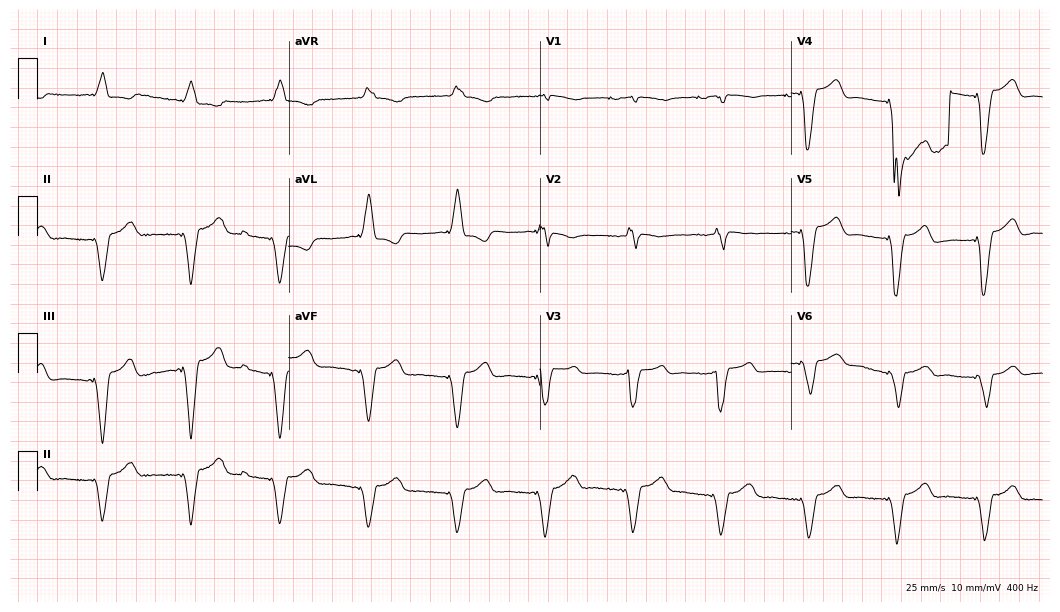
Standard 12-lead ECG recorded from a female, 38 years old. None of these six findings is recorded: first-degree AV block, right bundle branch block, left bundle branch block, sinus bradycardia, atrial fibrillation, sinus tachycardia.